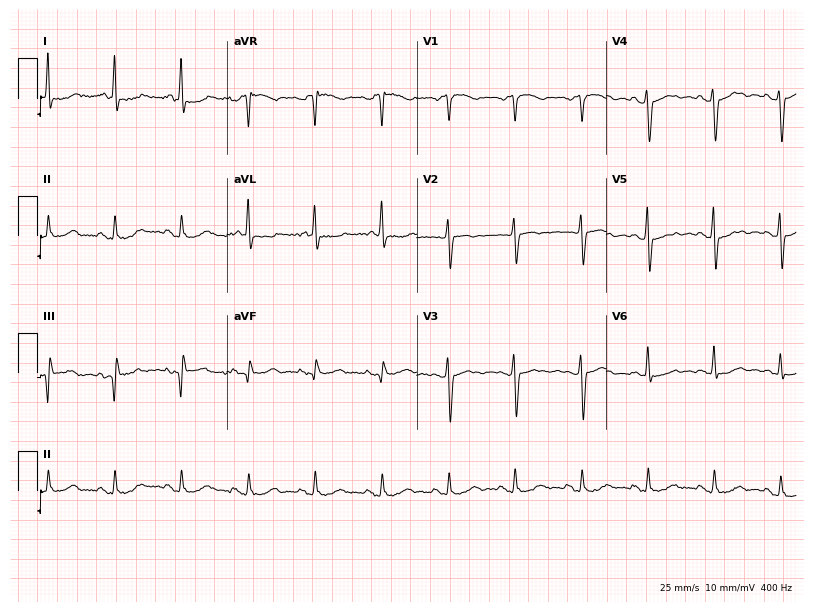
12-lead ECG from a 64-year-old man (7.7-second recording at 400 Hz). No first-degree AV block, right bundle branch block, left bundle branch block, sinus bradycardia, atrial fibrillation or sinus tachycardia recorded for this tracing.